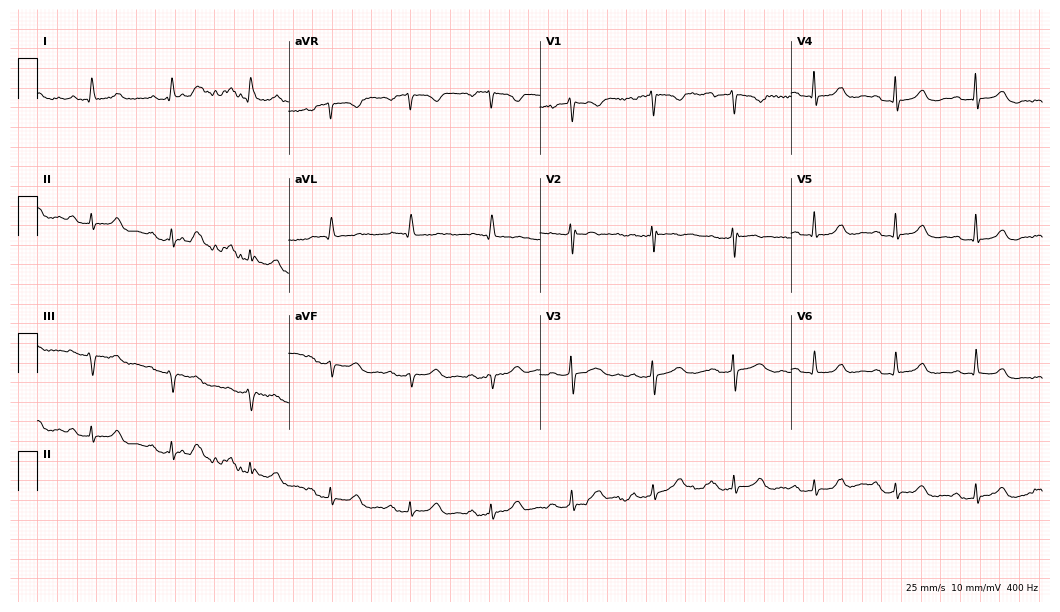
Electrocardiogram, a female, 81 years old. Of the six screened findings (first-degree AV block, right bundle branch block (RBBB), left bundle branch block (LBBB), sinus bradycardia, atrial fibrillation (AF), sinus tachycardia), none is recorded.